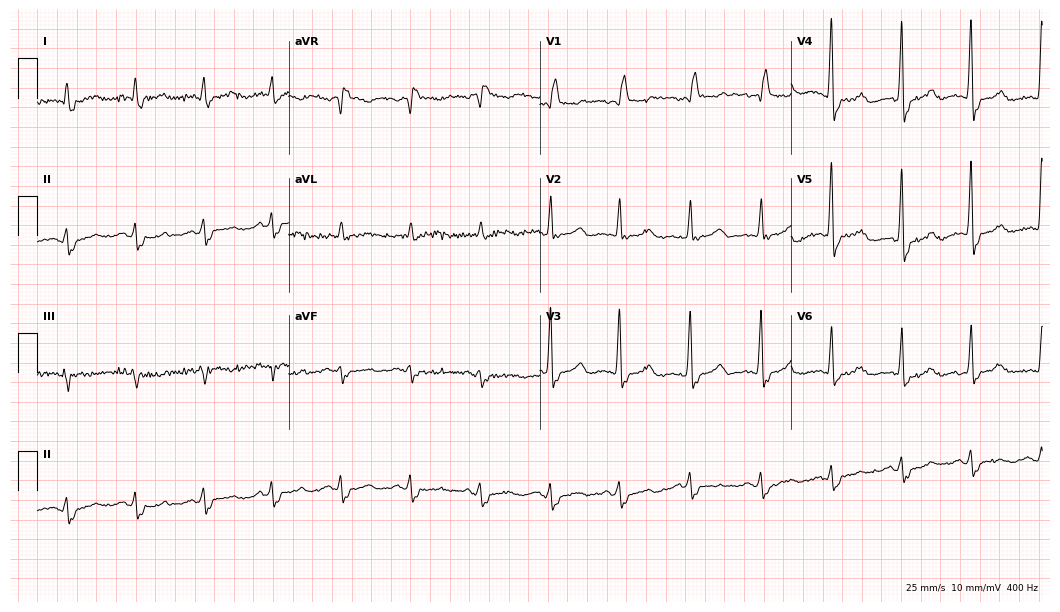
ECG (10.2-second recording at 400 Hz) — a male, 80 years old. Findings include right bundle branch block.